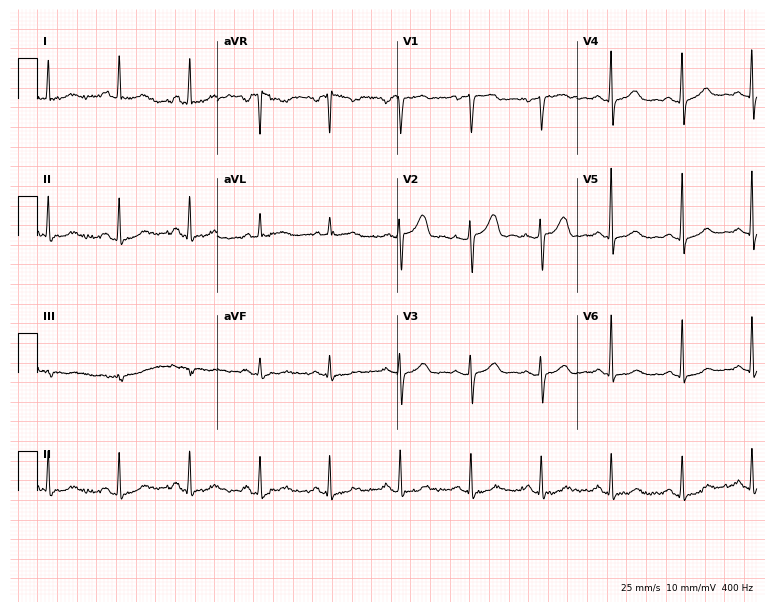
Resting 12-lead electrocardiogram. Patient: a female, 69 years old. Read as a normal ECG.